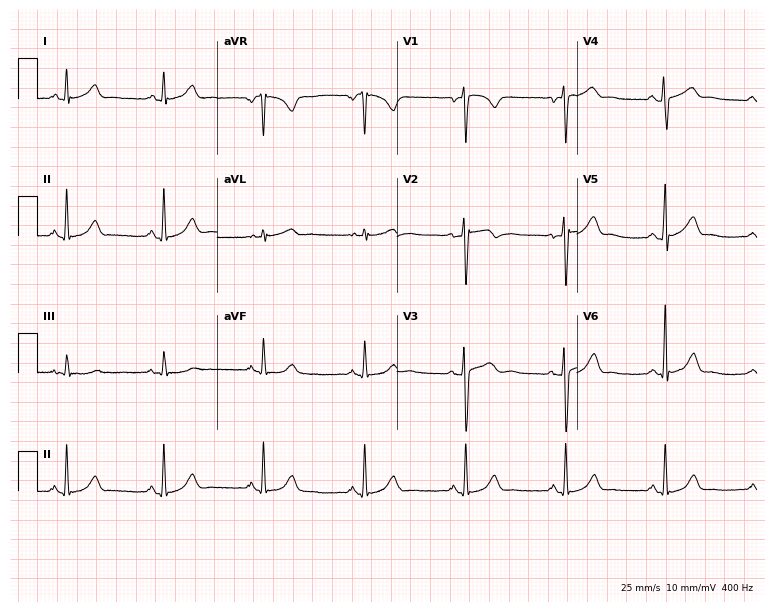
Standard 12-lead ECG recorded from a male patient, 37 years old (7.3-second recording at 400 Hz). Read as a normal ECG.